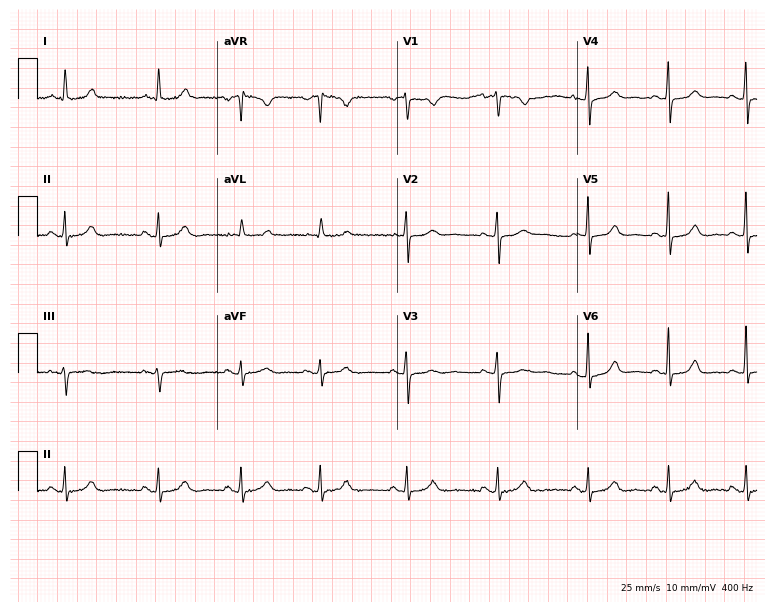
ECG — a 40-year-old woman. Labelled as a normal ECG.